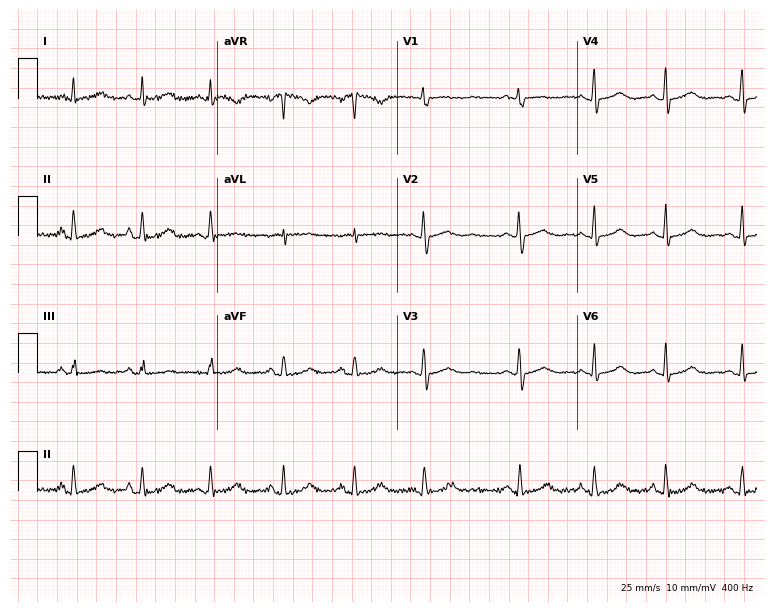
Resting 12-lead electrocardiogram (7.3-second recording at 400 Hz). Patient: a woman, 30 years old. Read as a normal ECG.